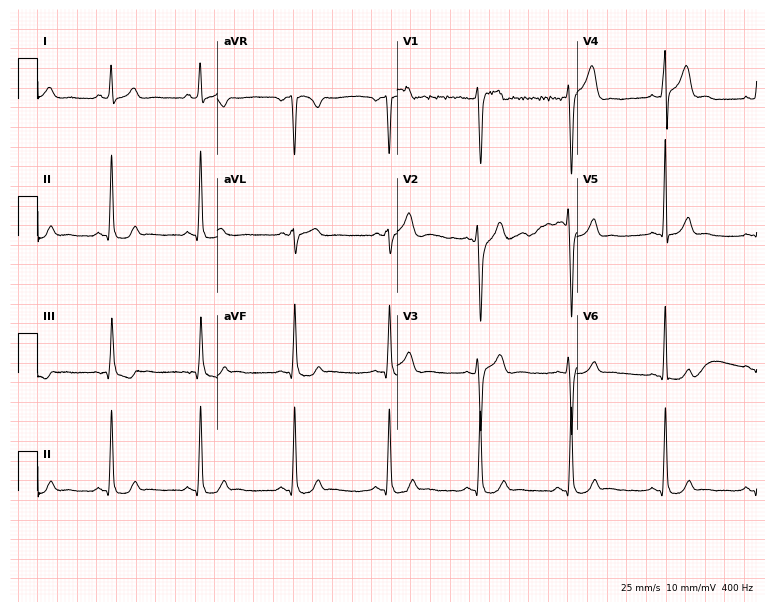
Electrocardiogram, a 26-year-old female. Of the six screened findings (first-degree AV block, right bundle branch block (RBBB), left bundle branch block (LBBB), sinus bradycardia, atrial fibrillation (AF), sinus tachycardia), none is recorded. Findings outside these six are not listed.